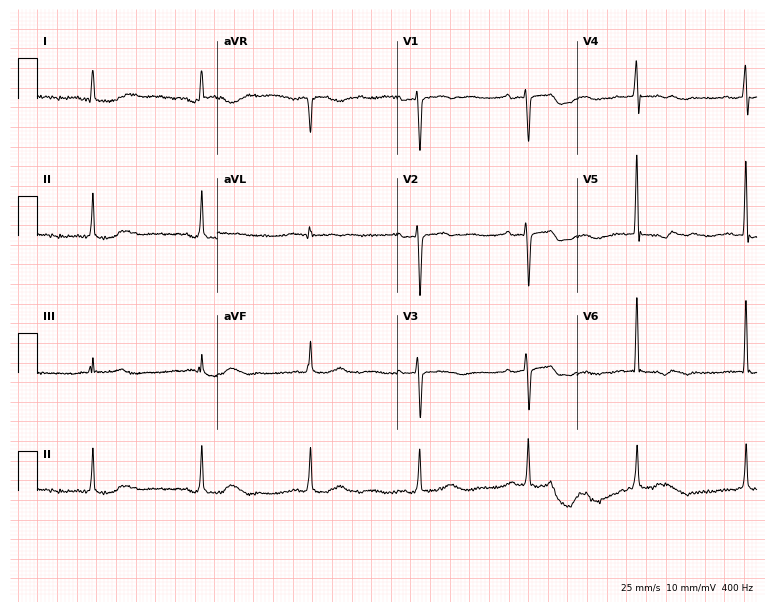
Electrocardiogram, a woman, 67 years old. Of the six screened findings (first-degree AV block, right bundle branch block, left bundle branch block, sinus bradycardia, atrial fibrillation, sinus tachycardia), none is recorded. Findings outside these six are not listed.